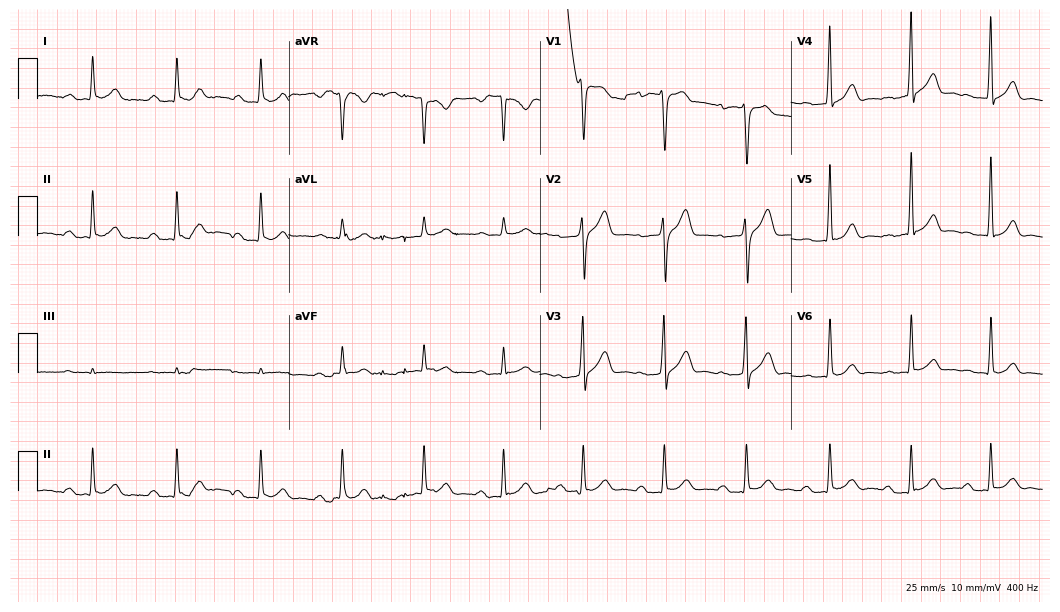
Standard 12-lead ECG recorded from a male patient, 49 years old (10.2-second recording at 400 Hz). The tracing shows first-degree AV block, atrial fibrillation.